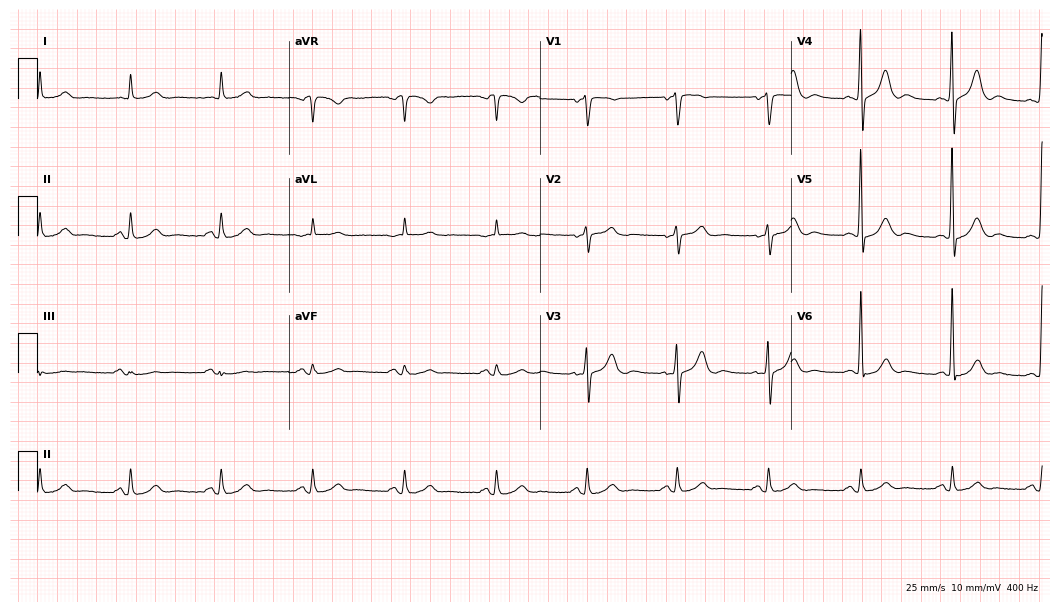
Standard 12-lead ECG recorded from an 81-year-old male (10.2-second recording at 400 Hz). Read as a normal ECG.